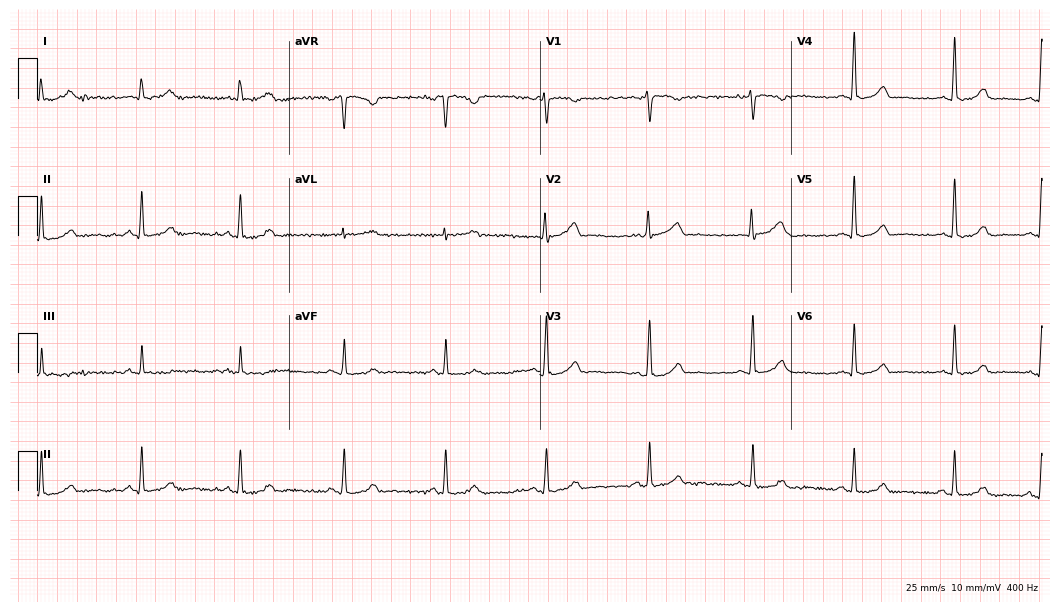
Resting 12-lead electrocardiogram (10.2-second recording at 400 Hz). Patient: a woman, 45 years old. None of these six findings is recorded: first-degree AV block, right bundle branch block, left bundle branch block, sinus bradycardia, atrial fibrillation, sinus tachycardia.